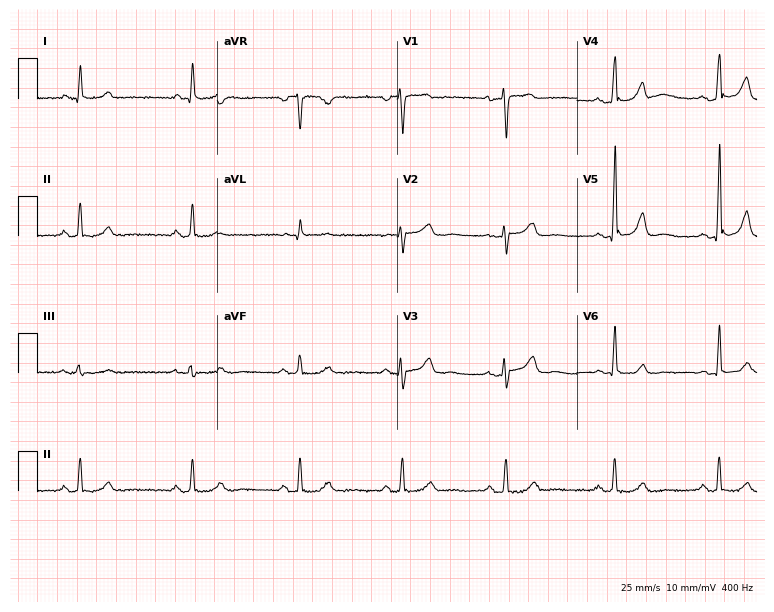
Standard 12-lead ECG recorded from a female patient, 49 years old (7.3-second recording at 400 Hz). Read as a normal ECG.